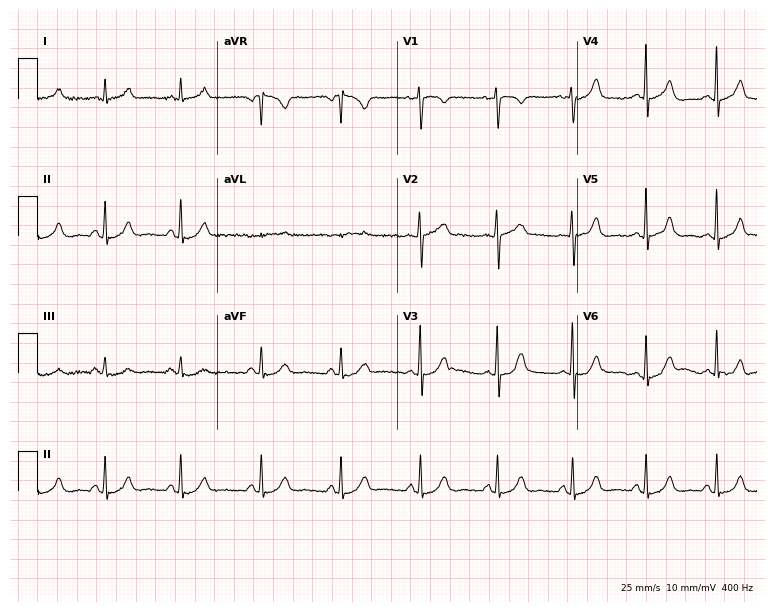
12-lead ECG from a 39-year-old female. Screened for six findings — first-degree AV block, right bundle branch block, left bundle branch block, sinus bradycardia, atrial fibrillation, sinus tachycardia — none is recorded. Findings outside these six are not listed.